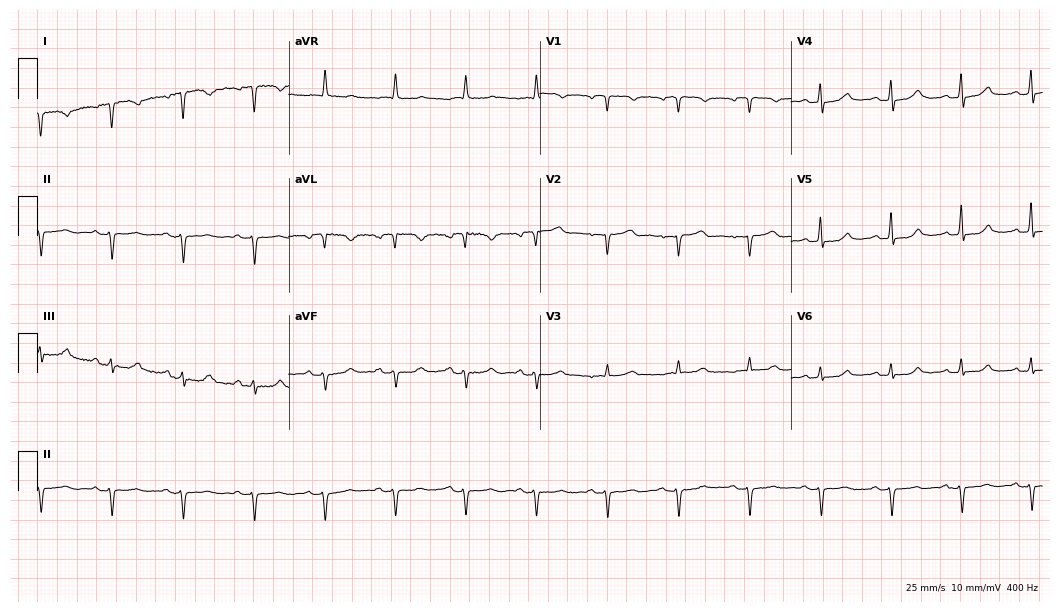
Electrocardiogram (10.2-second recording at 400 Hz), a 72-year-old female patient. Of the six screened findings (first-degree AV block, right bundle branch block (RBBB), left bundle branch block (LBBB), sinus bradycardia, atrial fibrillation (AF), sinus tachycardia), none is recorded. Only these six findings were labelled.